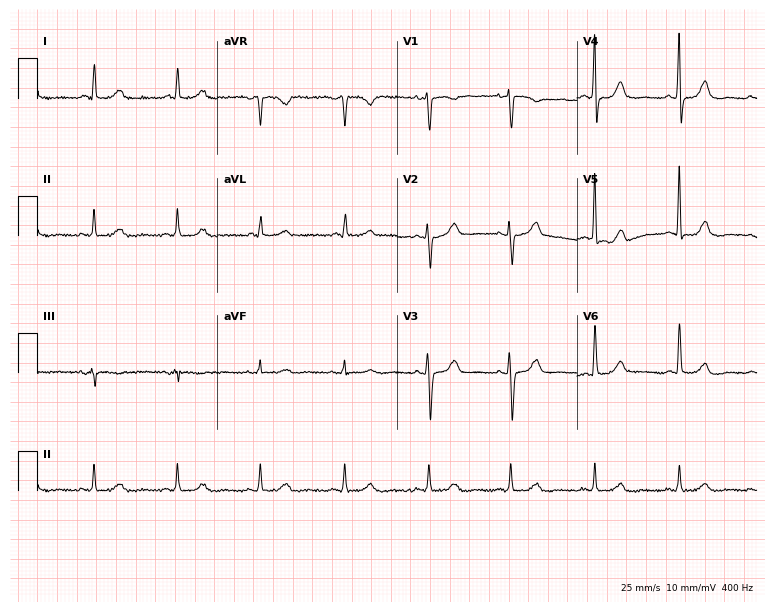
12-lead ECG from a 72-year-old woman. Labelled as a normal ECG.